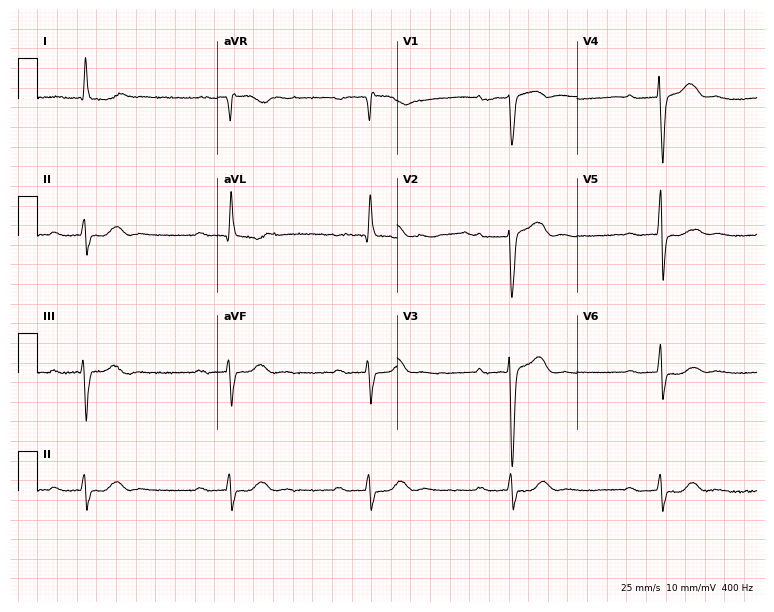
Electrocardiogram, an 80-year-old male patient. Interpretation includes first-degree AV block, sinus bradycardia (a sinus rate of 50 beats per minute or less).